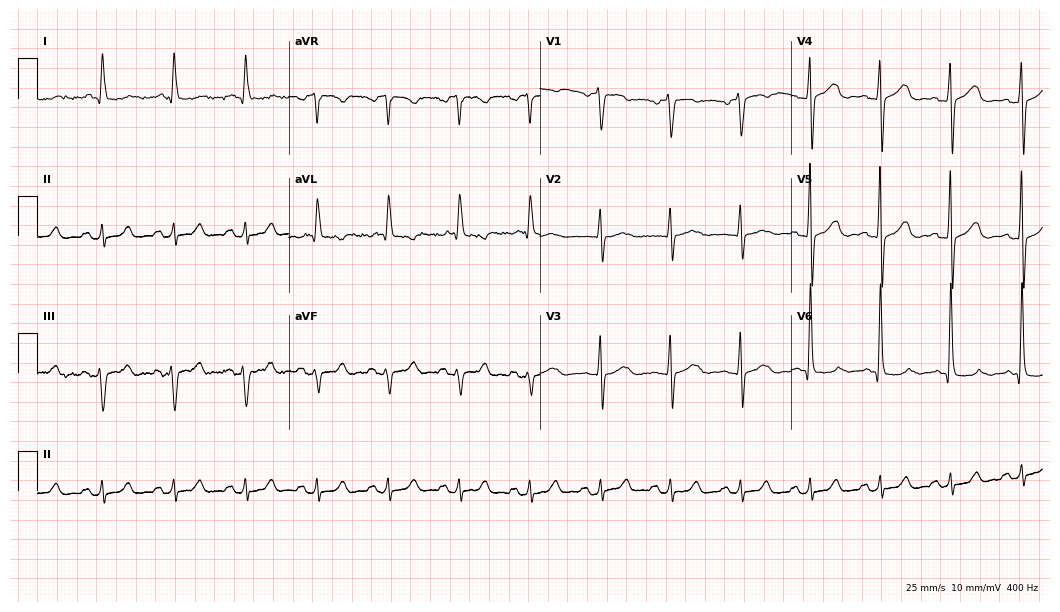
Electrocardiogram, an 80-year-old male patient. Of the six screened findings (first-degree AV block, right bundle branch block (RBBB), left bundle branch block (LBBB), sinus bradycardia, atrial fibrillation (AF), sinus tachycardia), none is recorded. Only these six findings were labelled.